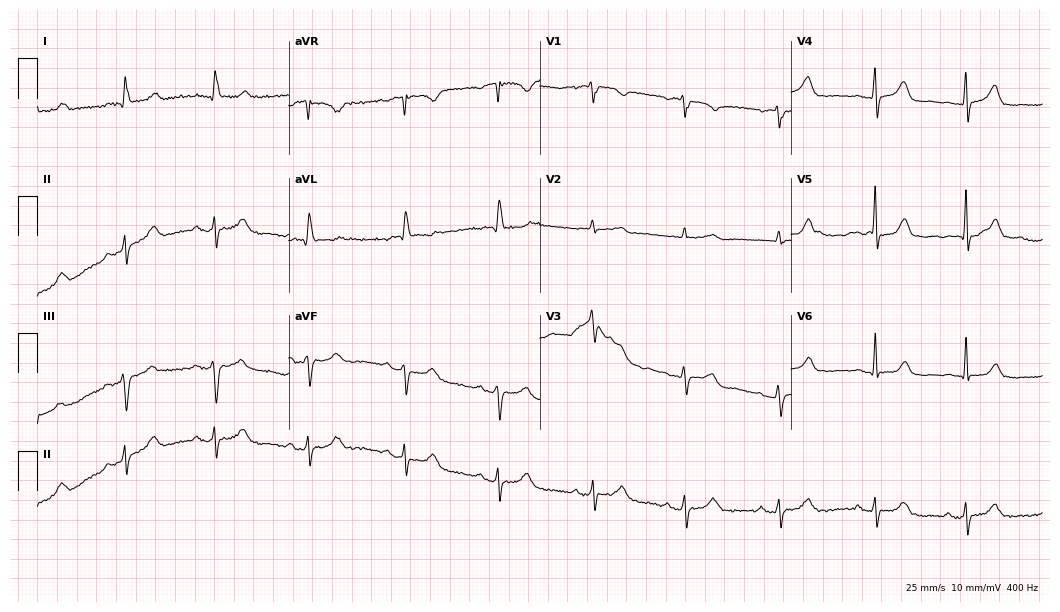
12-lead ECG from a 68-year-old female. Labelled as a normal ECG.